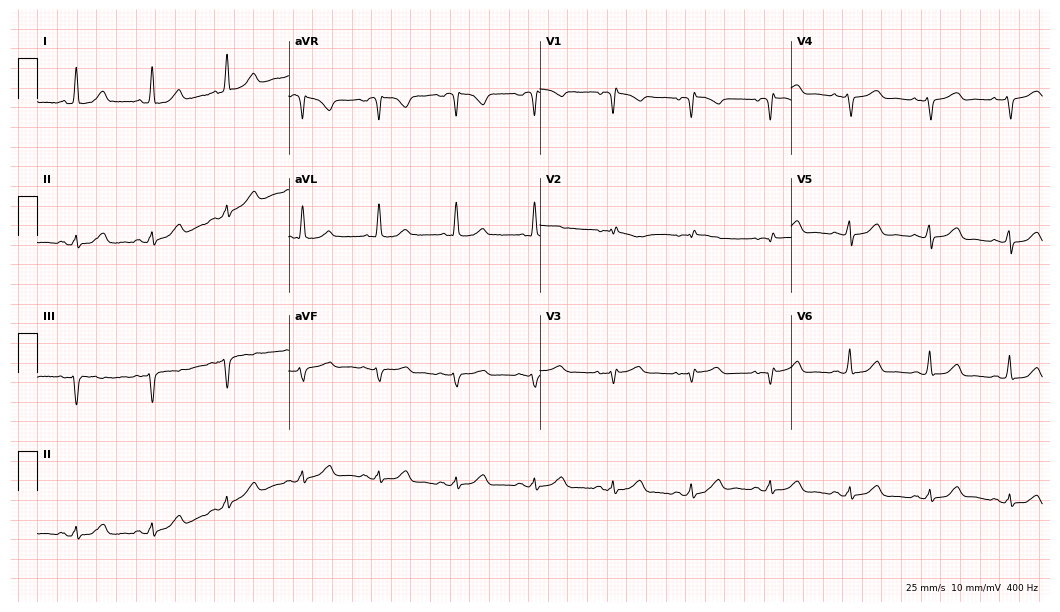
Electrocardiogram (10.2-second recording at 400 Hz), a 76-year-old female. Of the six screened findings (first-degree AV block, right bundle branch block, left bundle branch block, sinus bradycardia, atrial fibrillation, sinus tachycardia), none is recorded.